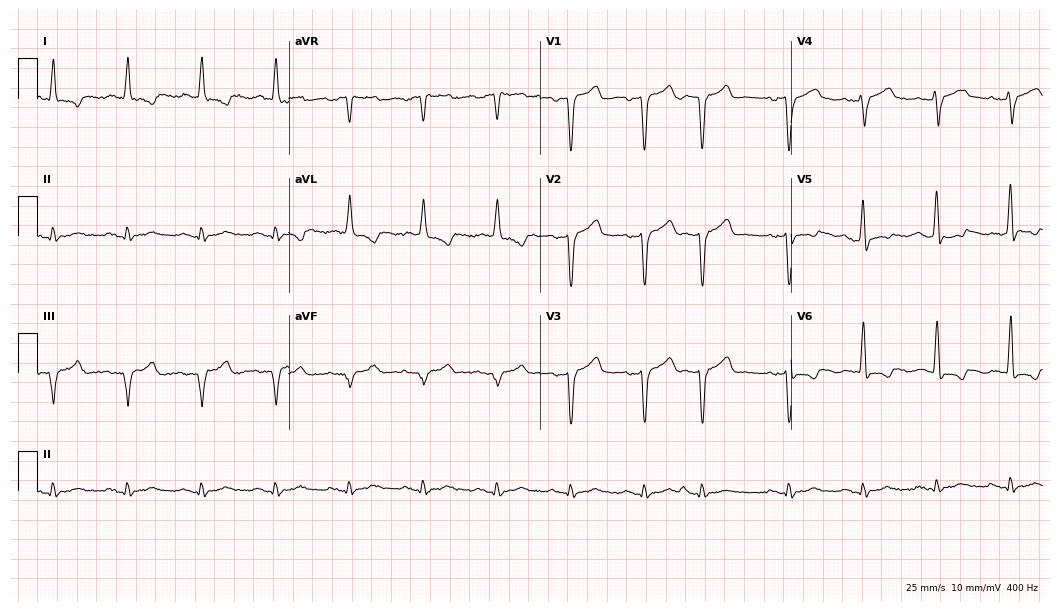
ECG (10.2-second recording at 400 Hz) — a 72-year-old man. Screened for six findings — first-degree AV block, right bundle branch block (RBBB), left bundle branch block (LBBB), sinus bradycardia, atrial fibrillation (AF), sinus tachycardia — none is recorded. Findings outside these six are not listed.